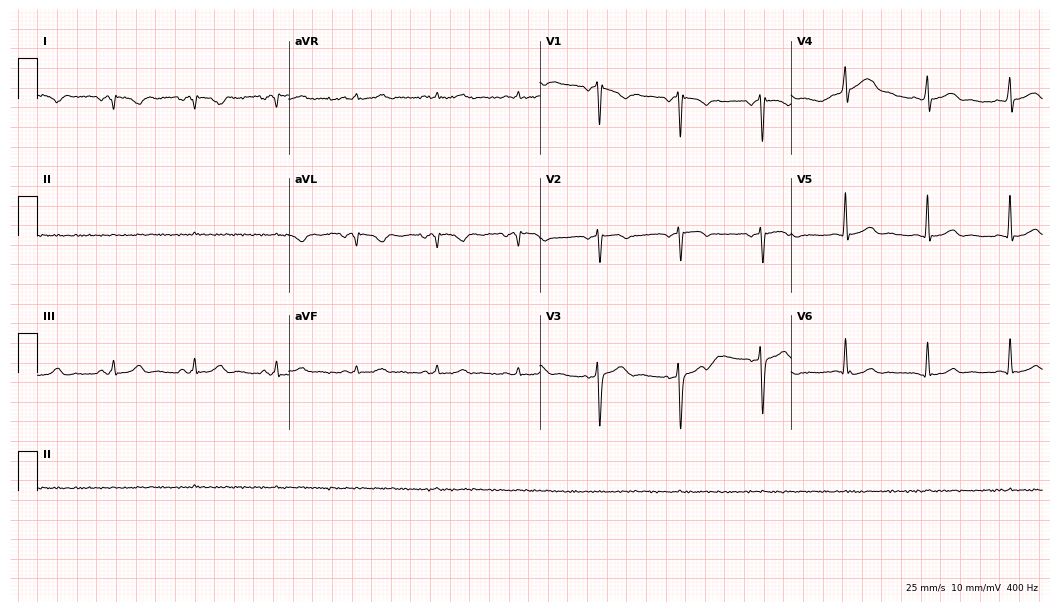
Standard 12-lead ECG recorded from a man, 50 years old. None of these six findings is recorded: first-degree AV block, right bundle branch block, left bundle branch block, sinus bradycardia, atrial fibrillation, sinus tachycardia. Only these six findings were labelled.